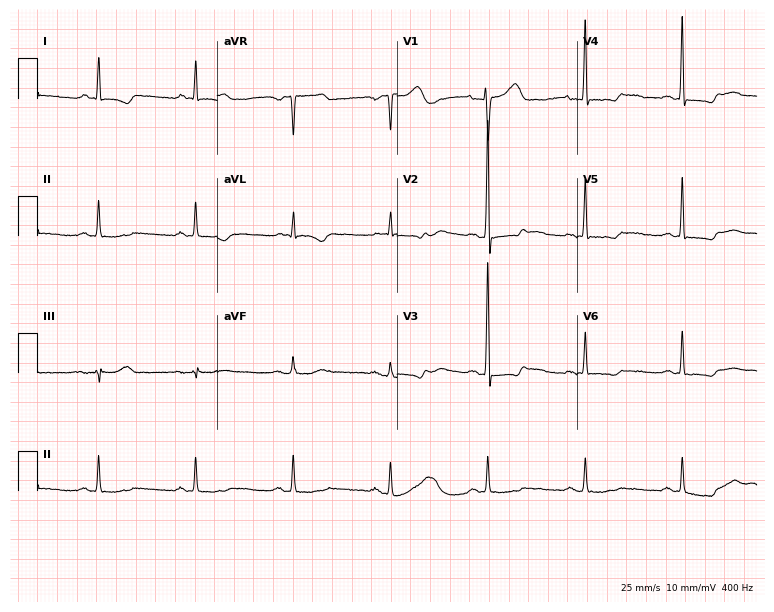
Resting 12-lead electrocardiogram. Patient: a man, 66 years old. None of these six findings is recorded: first-degree AV block, right bundle branch block, left bundle branch block, sinus bradycardia, atrial fibrillation, sinus tachycardia.